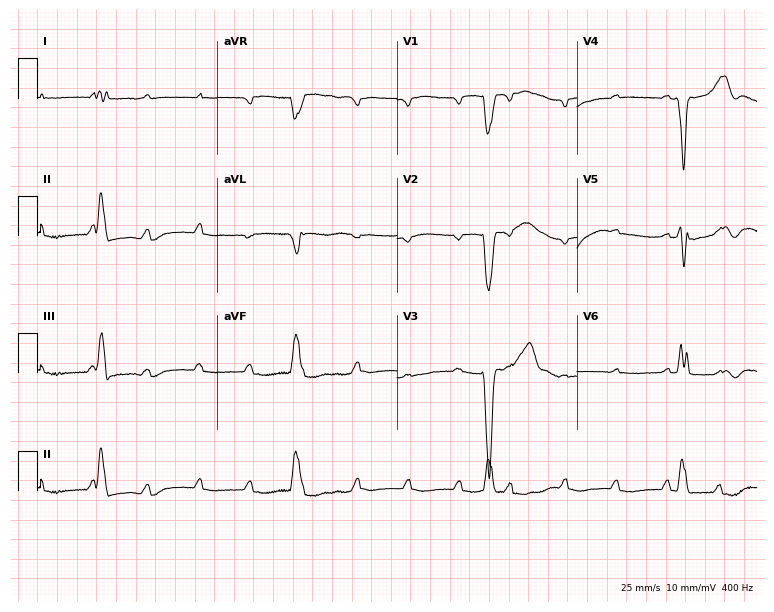
12-lead ECG from a 56-year-old female patient. Findings include left bundle branch block.